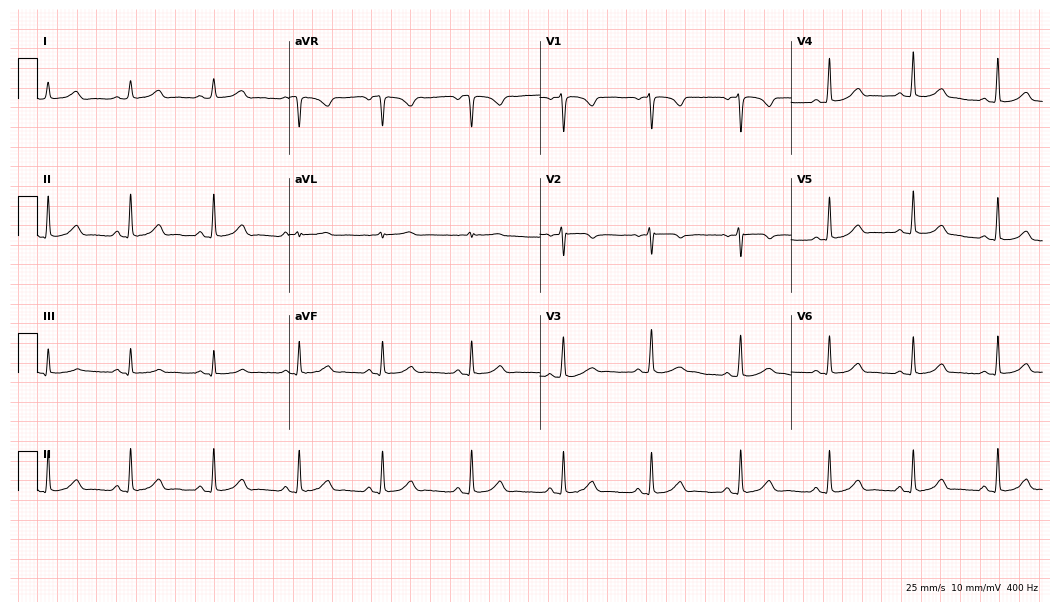
Resting 12-lead electrocardiogram. Patient: a 23-year-old woman. Read as a normal ECG.